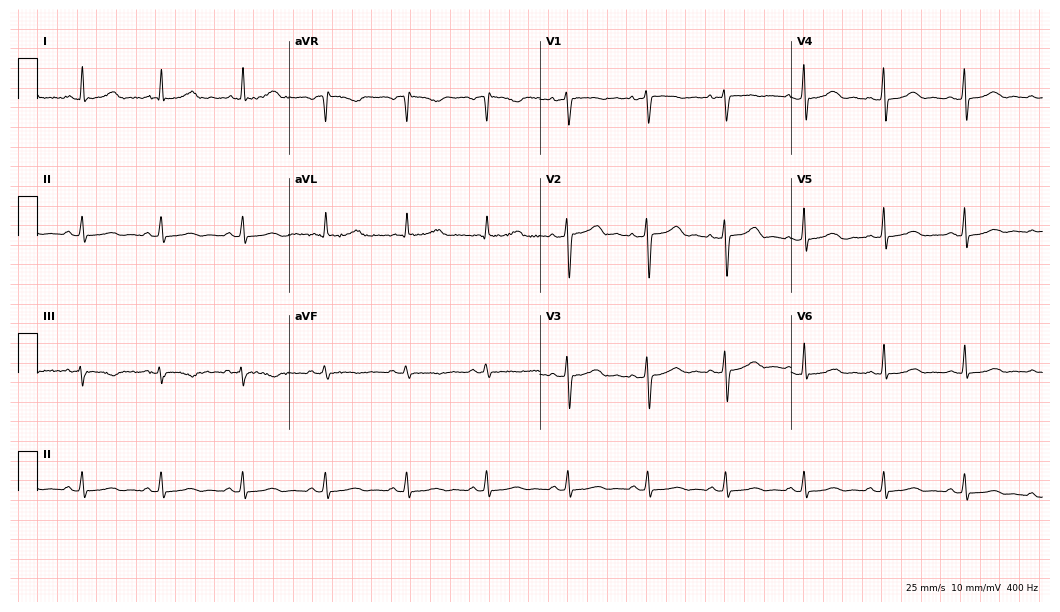
Resting 12-lead electrocardiogram (10.2-second recording at 400 Hz). Patient: a 45-year-old woman. Read as a normal ECG.